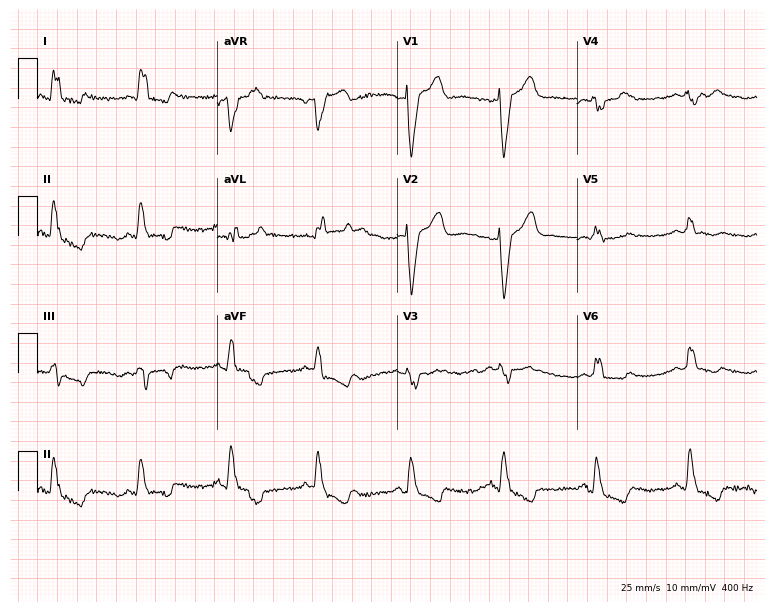
ECG — a 74-year-old woman. Findings include left bundle branch block.